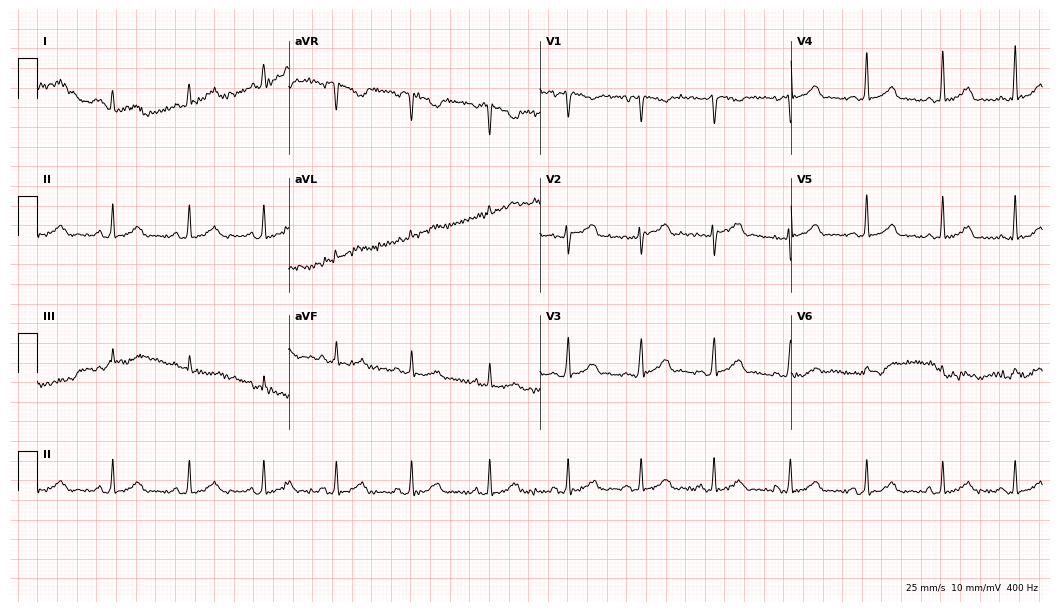
Electrocardiogram (10.2-second recording at 400 Hz), a 34-year-old woman. Overall reading on record: normal ECG.